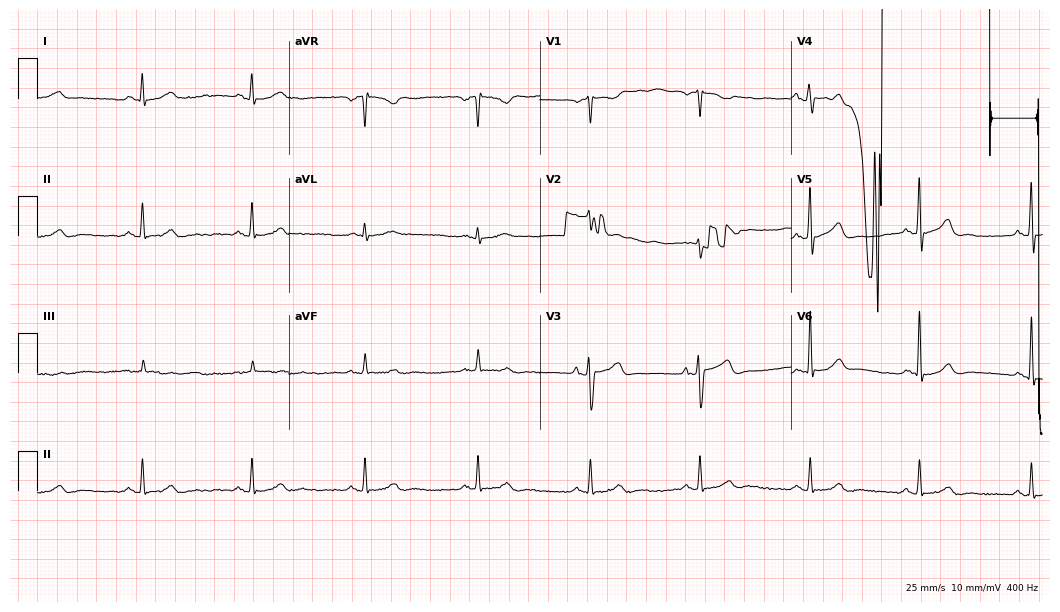
Resting 12-lead electrocardiogram (10.2-second recording at 400 Hz). Patient: a 60-year-old man. None of these six findings is recorded: first-degree AV block, right bundle branch block (RBBB), left bundle branch block (LBBB), sinus bradycardia, atrial fibrillation (AF), sinus tachycardia.